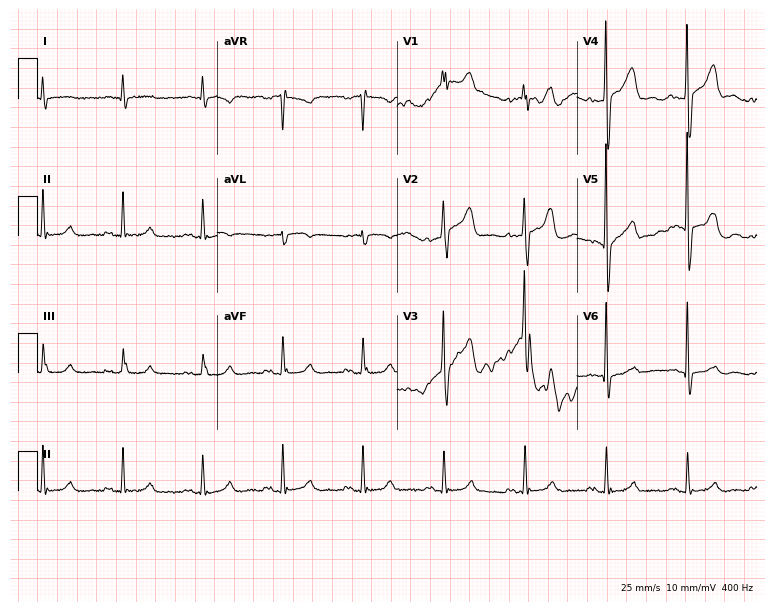
12-lead ECG from a man, 77 years old. Recorded interpretation: within normal limits.